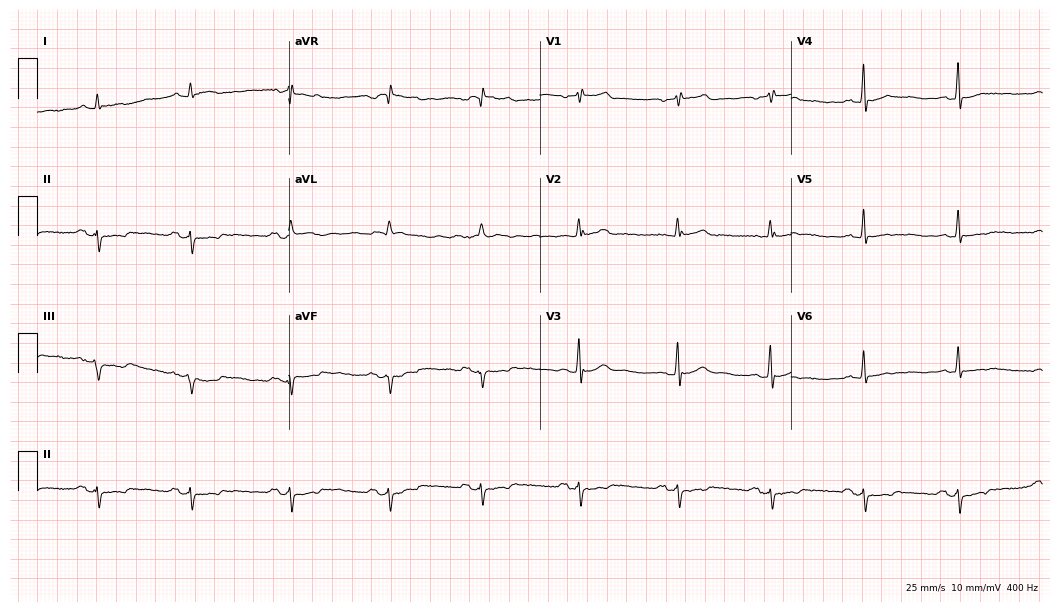
12-lead ECG from a 71-year-old man (10.2-second recording at 400 Hz). No first-degree AV block, right bundle branch block, left bundle branch block, sinus bradycardia, atrial fibrillation or sinus tachycardia recorded for this tracing. Only these six findings were labelled.